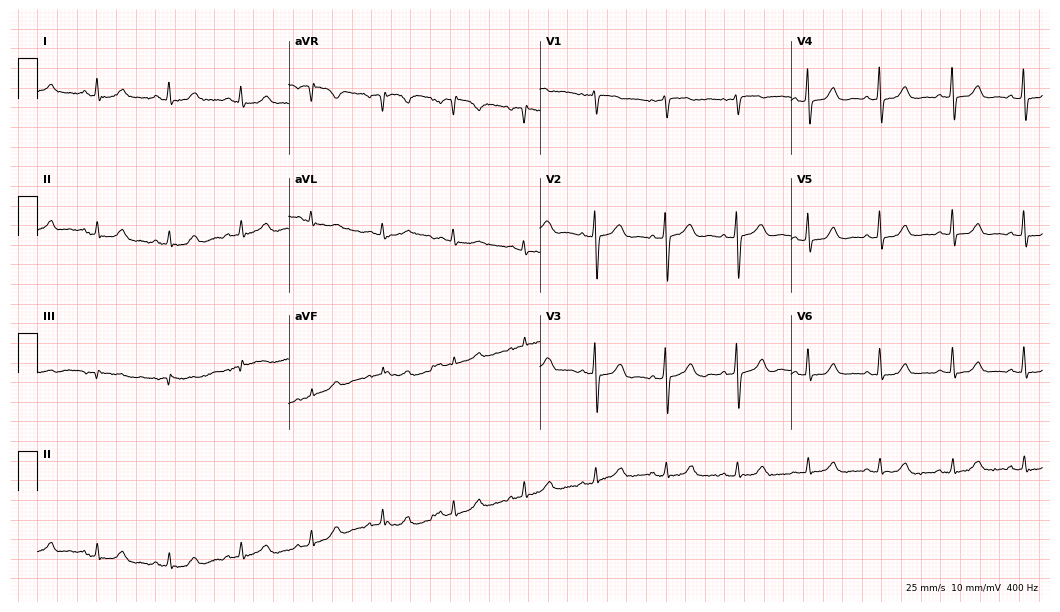
12-lead ECG from a 71-year-old female patient. Labelled as a normal ECG.